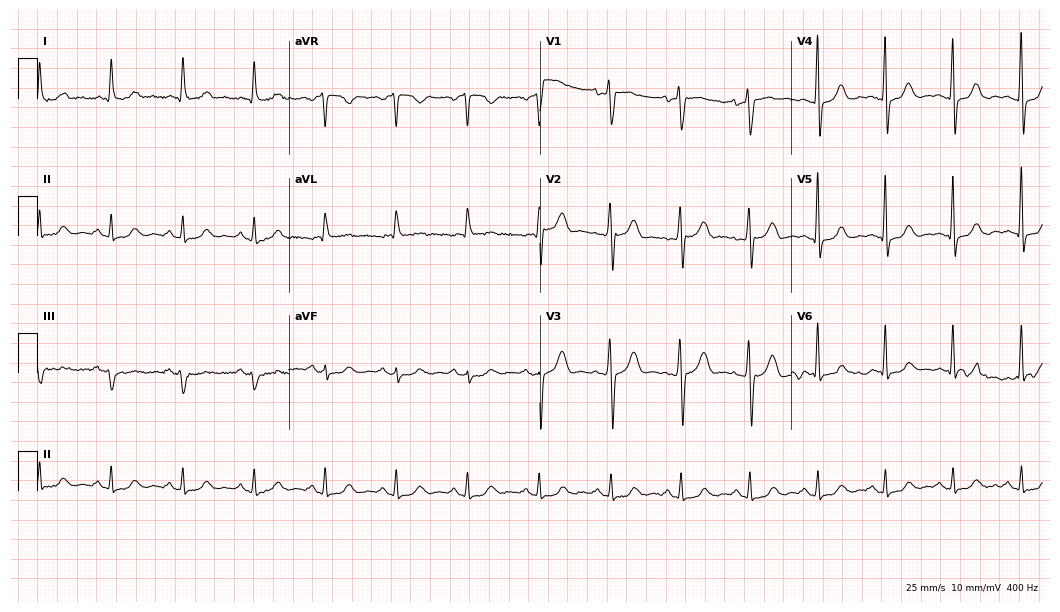
12-lead ECG (10.2-second recording at 400 Hz) from a 62-year-old woman. Labelled as a normal ECG.